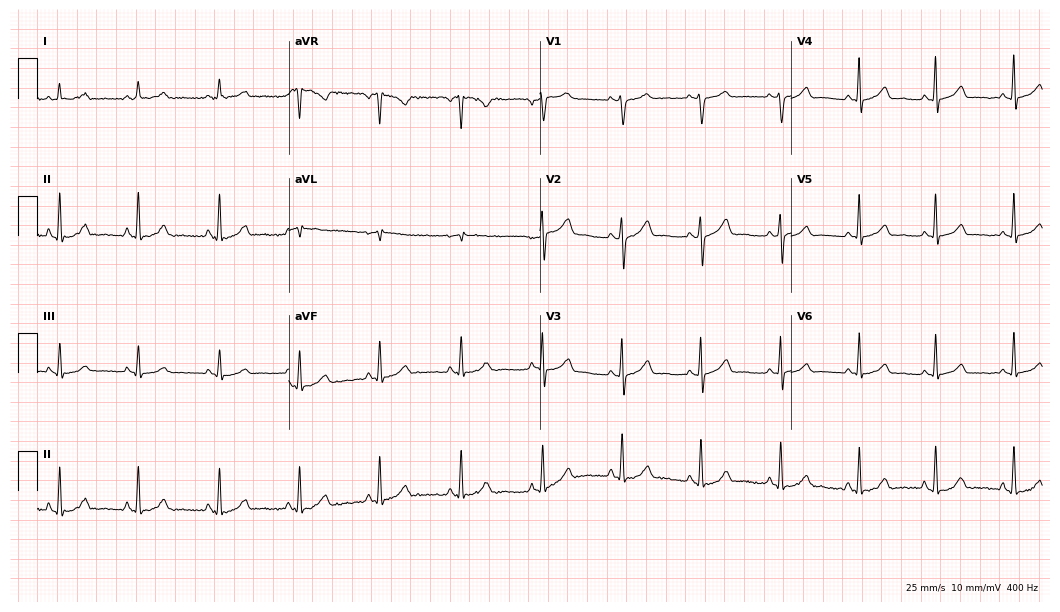
Resting 12-lead electrocardiogram. Patient: a female, 44 years old. Read as a normal ECG.